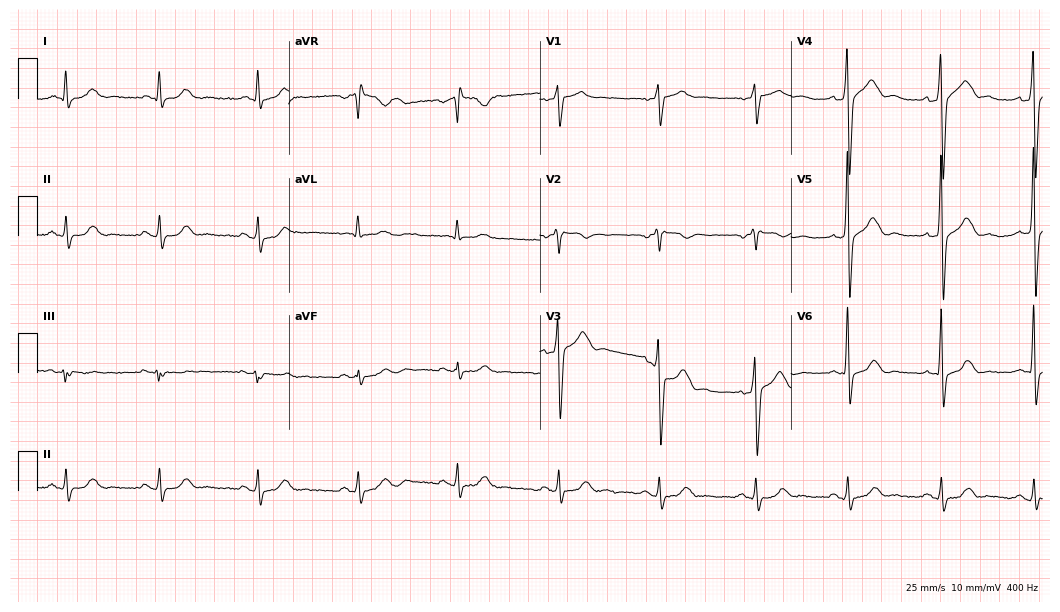
Resting 12-lead electrocardiogram (10.2-second recording at 400 Hz). Patient: a 65-year-old male. None of these six findings is recorded: first-degree AV block, right bundle branch block, left bundle branch block, sinus bradycardia, atrial fibrillation, sinus tachycardia.